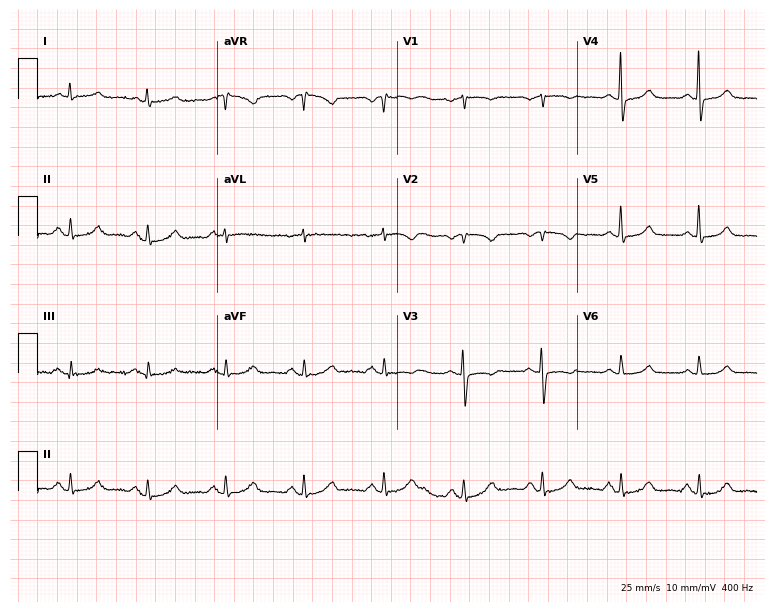
12-lead ECG from a female patient, 72 years old (7.3-second recording at 400 Hz). No first-degree AV block, right bundle branch block, left bundle branch block, sinus bradycardia, atrial fibrillation or sinus tachycardia recorded for this tracing. Other findings, if any, are not listed.